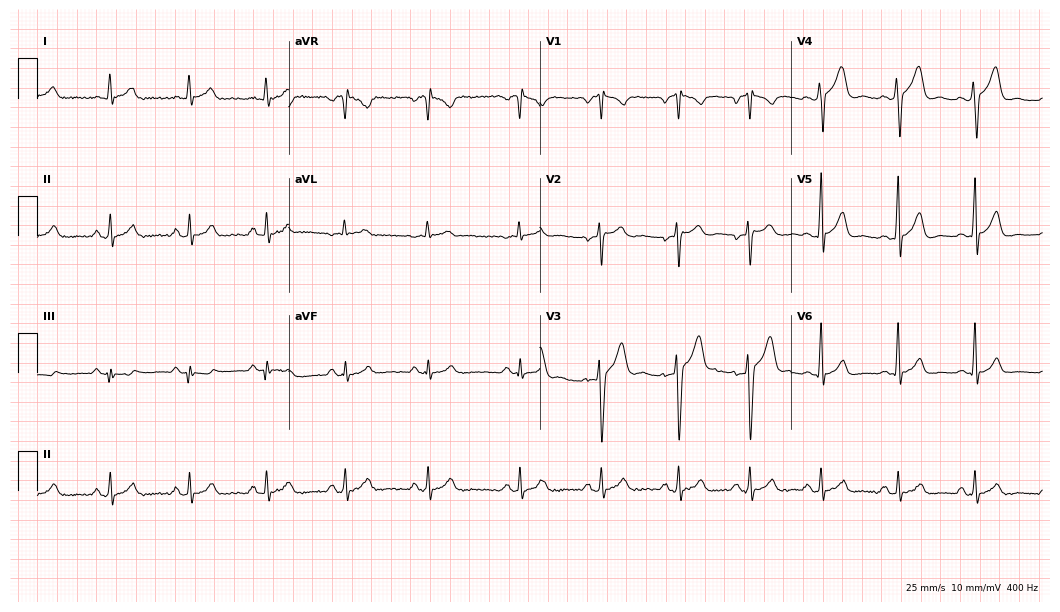
Resting 12-lead electrocardiogram. Patient: a male, 29 years old. Read as a normal ECG.